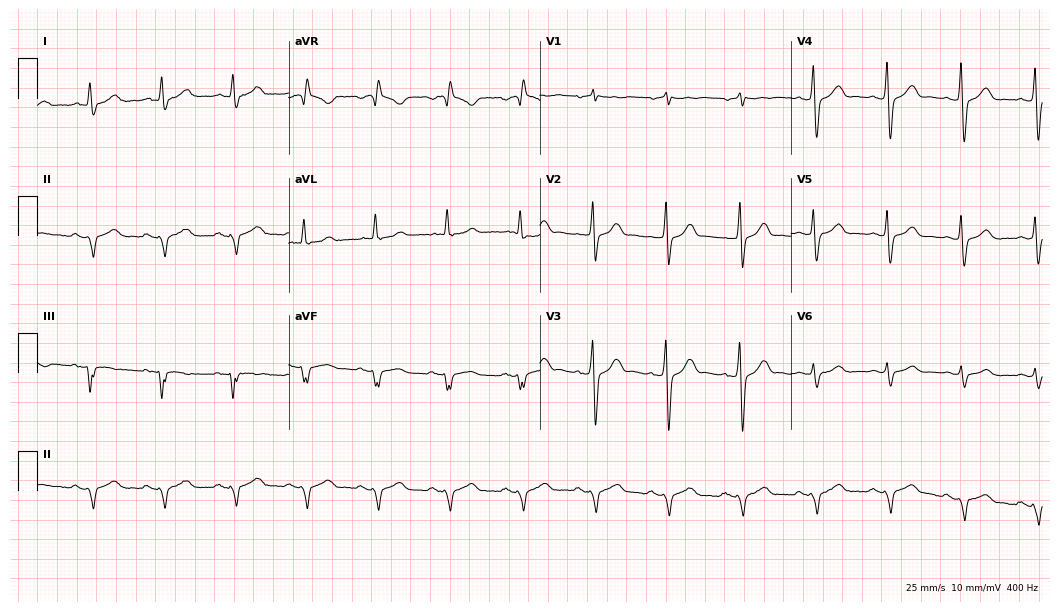
Electrocardiogram, a 58-year-old male patient. Of the six screened findings (first-degree AV block, right bundle branch block, left bundle branch block, sinus bradycardia, atrial fibrillation, sinus tachycardia), none is recorded. Only these six findings were labelled.